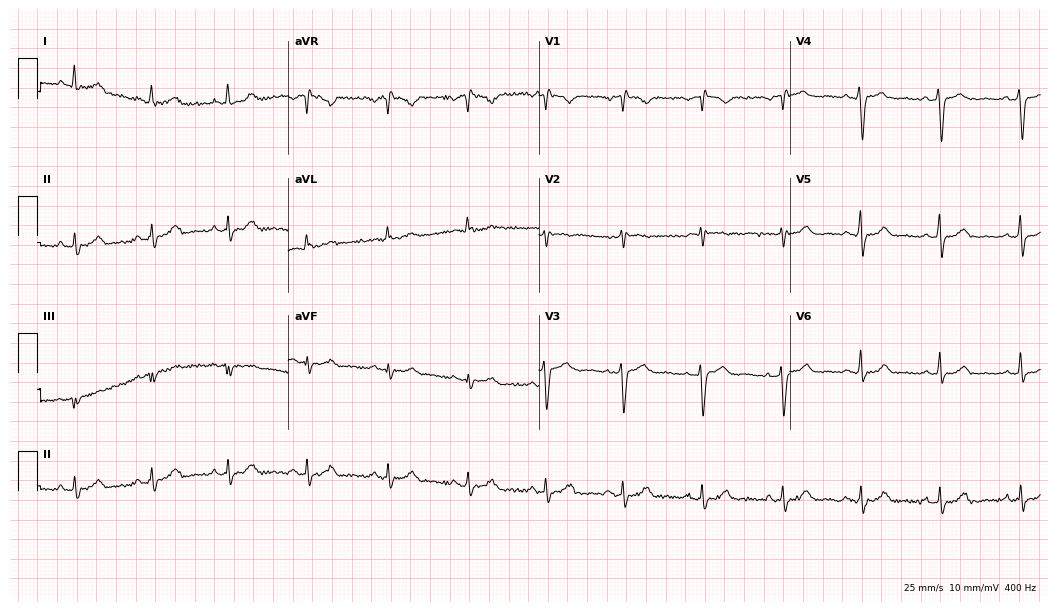
Standard 12-lead ECG recorded from a 33-year-old female patient (10.2-second recording at 400 Hz). None of these six findings is recorded: first-degree AV block, right bundle branch block (RBBB), left bundle branch block (LBBB), sinus bradycardia, atrial fibrillation (AF), sinus tachycardia. Other findings, if any, are not listed.